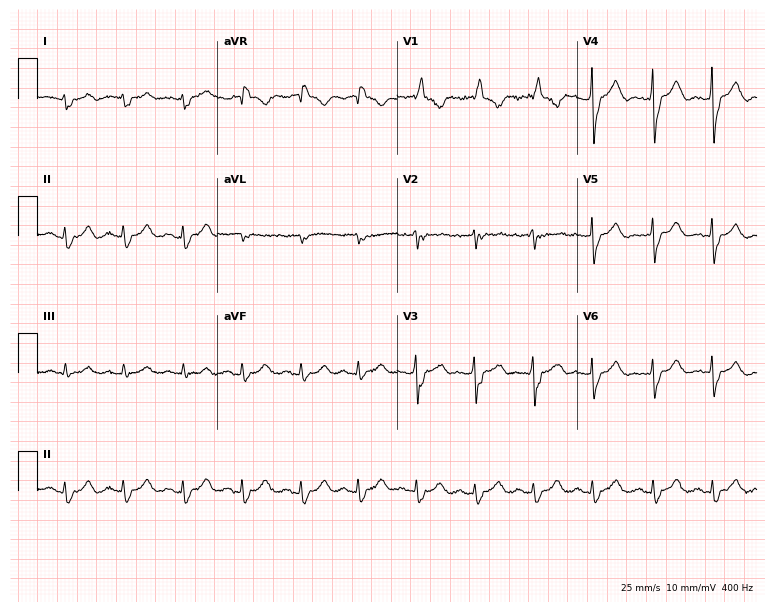
Resting 12-lead electrocardiogram (7.3-second recording at 400 Hz). Patient: a 54-year-old woman. The tracing shows right bundle branch block, sinus tachycardia (a sinus rate of 100 beats per minute or more).